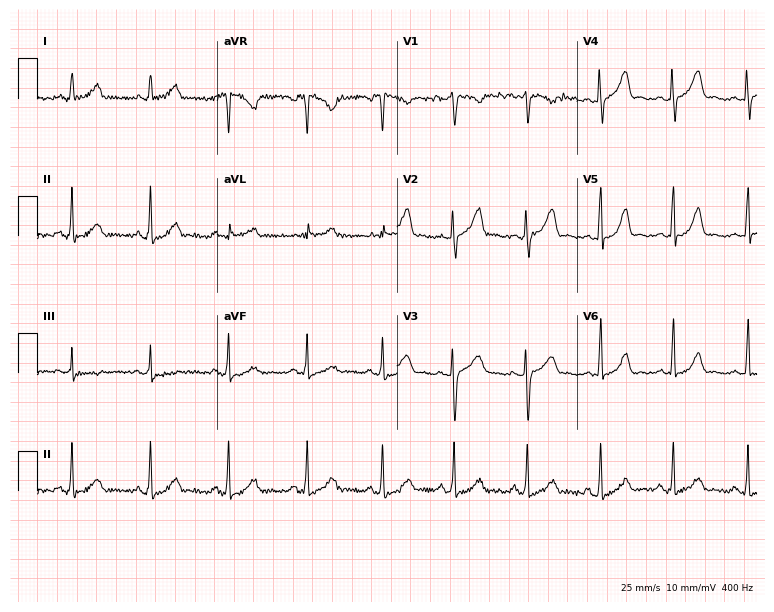
ECG (7.3-second recording at 400 Hz) — a female, 30 years old. Labelled as a normal ECG.